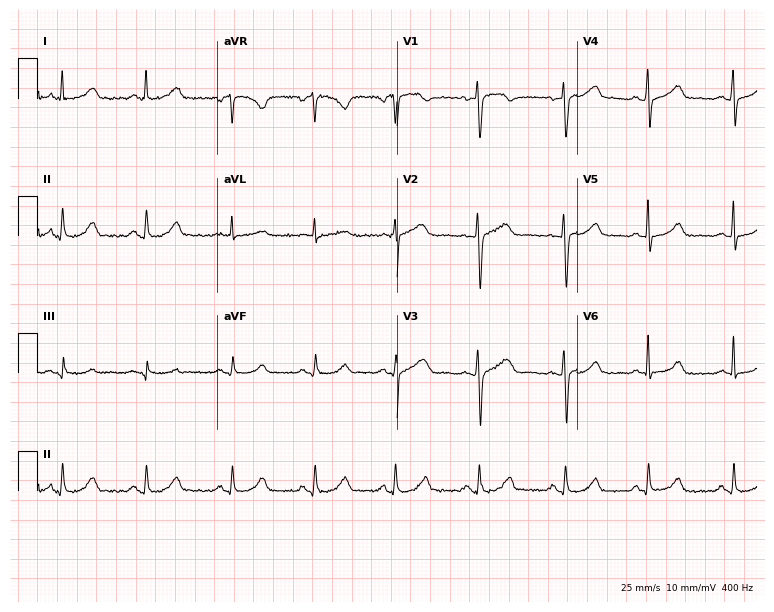
Resting 12-lead electrocardiogram. Patient: a woman, 40 years old. Read as a normal ECG.